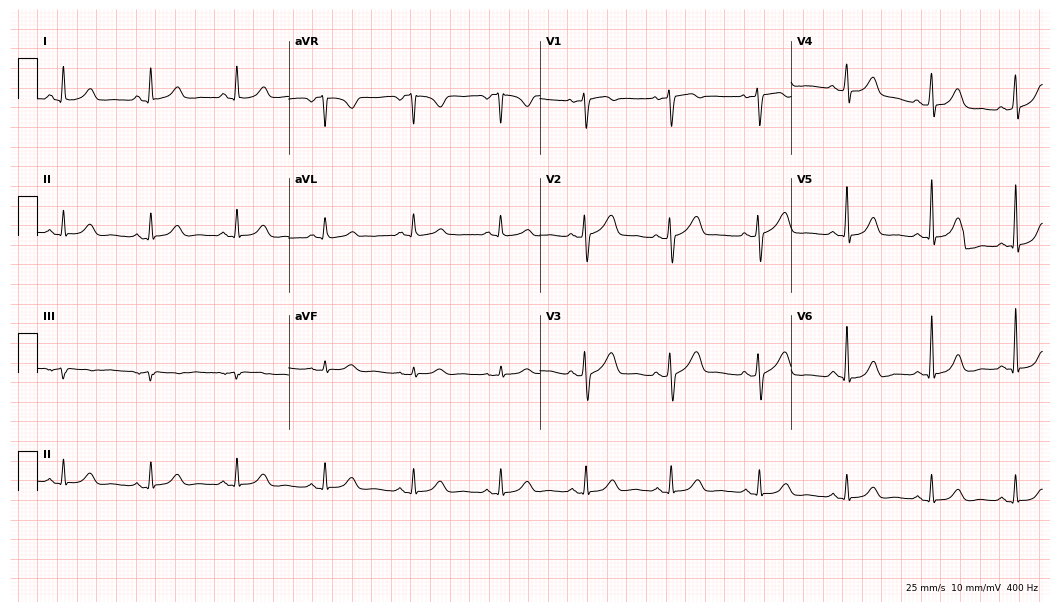
Standard 12-lead ECG recorded from a 61-year-old female patient (10.2-second recording at 400 Hz). Read as a normal ECG.